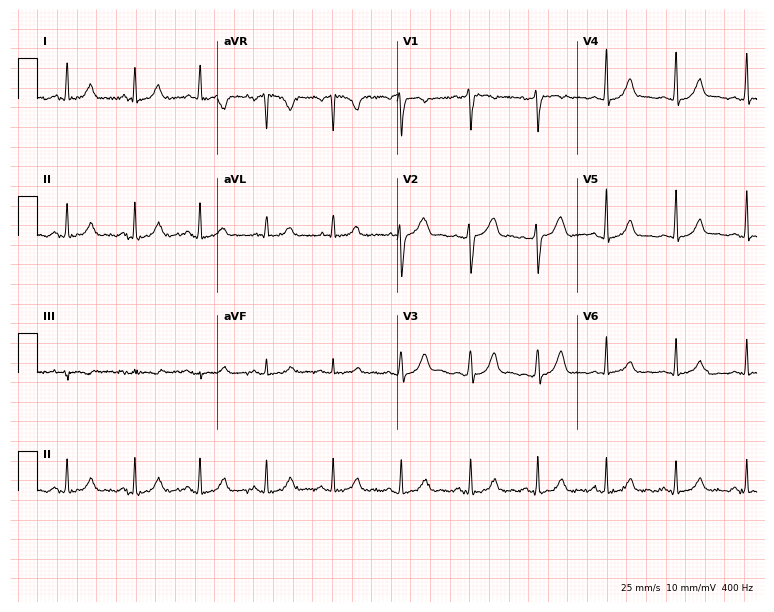
12-lead ECG from a female, 35 years old. No first-degree AV block, right bundle branch block (RBBB), left bundle branch block (LBBB), sinus bradycardia, atrial fibrillation (AF) or sinus tachycardia recorded for this tracing.